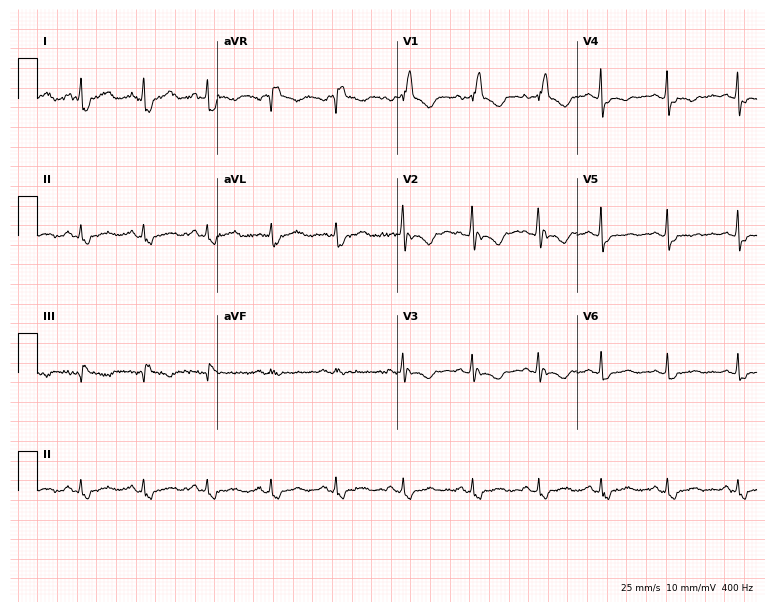
Resting 12-lead electrocardiogram (7.3-second recording at 400 Hz). Patient: a 31-year-old female. The tracing shows right bundle branch block.